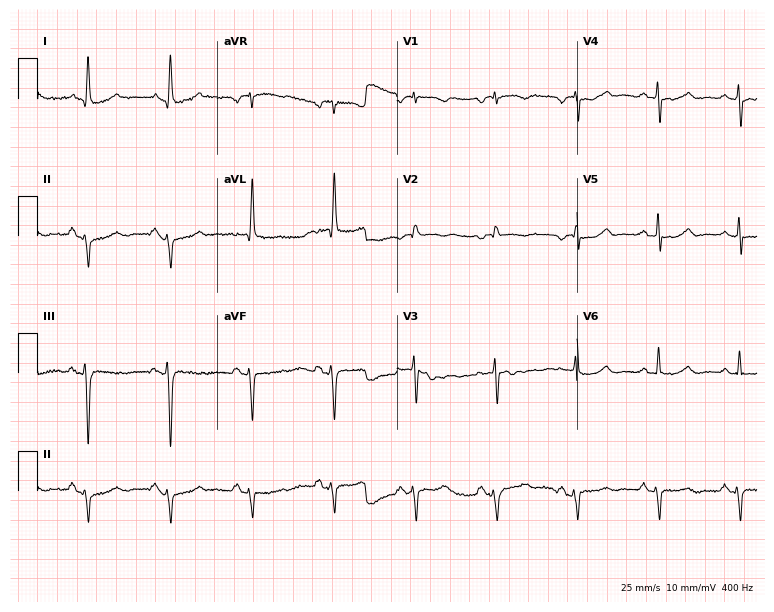
Resting 12-lead electrocardiogram. Patient: a female, 74 years old. None of these six findings is recorded: first-degree AV block, right bundle branch block (RBBB), left bundle branch block (LBBB), sinus bradycardia, atrial fibrillation (AF), sinus tachycardia.